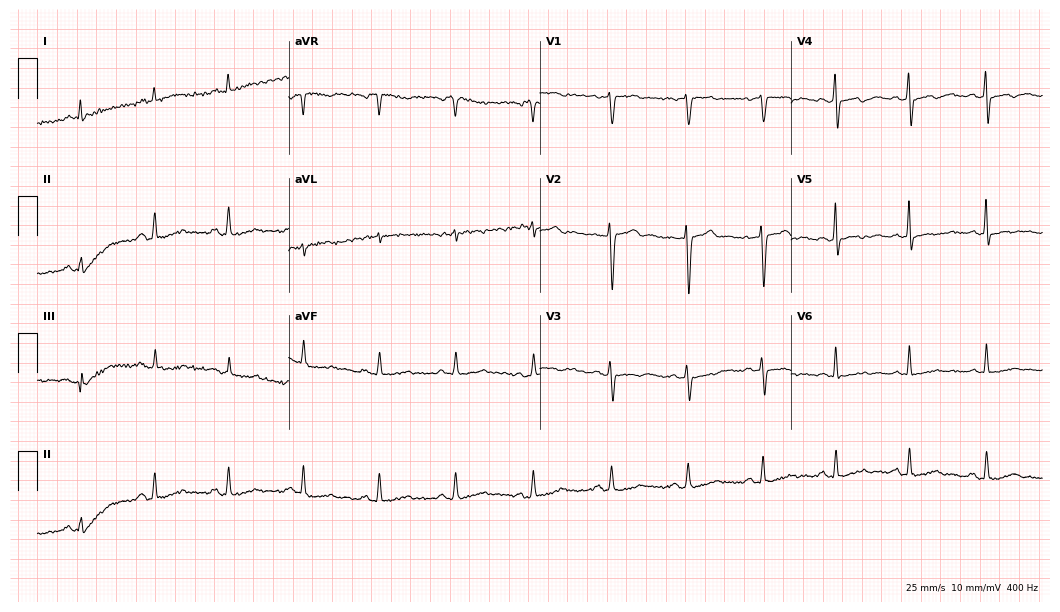
12-lead ECG from a 55-year-old male patient. Recorded interpretation: within normal limits.